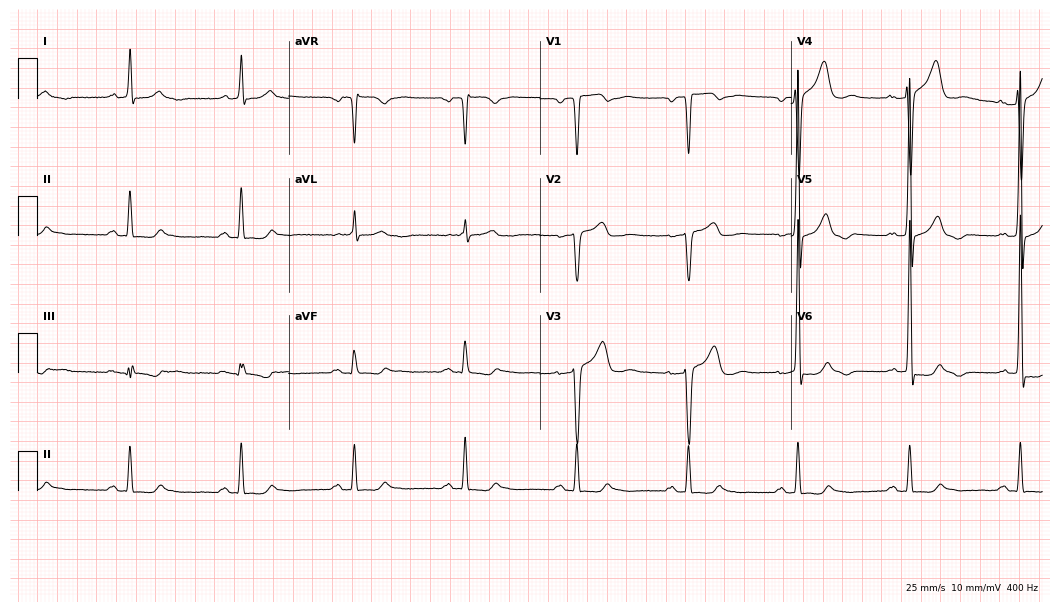
12-lead ECG from a 75-year-old male. Screened for six findings — first-degree AV block, right bundle branch block, left bundle branch block, sinus bradycardia, atrial fibrillation, sinus tachycardia — none is recorded. Findings outside these six are not listed.